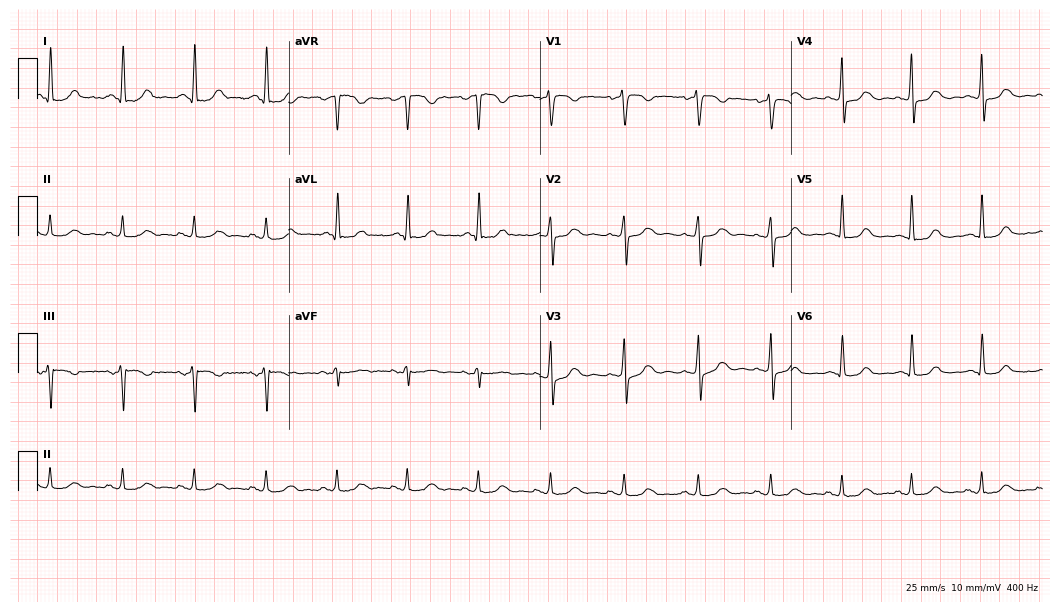
ECG (10.2-second recording at 400 Hz) — a 51-year-old female. Labelled as a normal ECG.